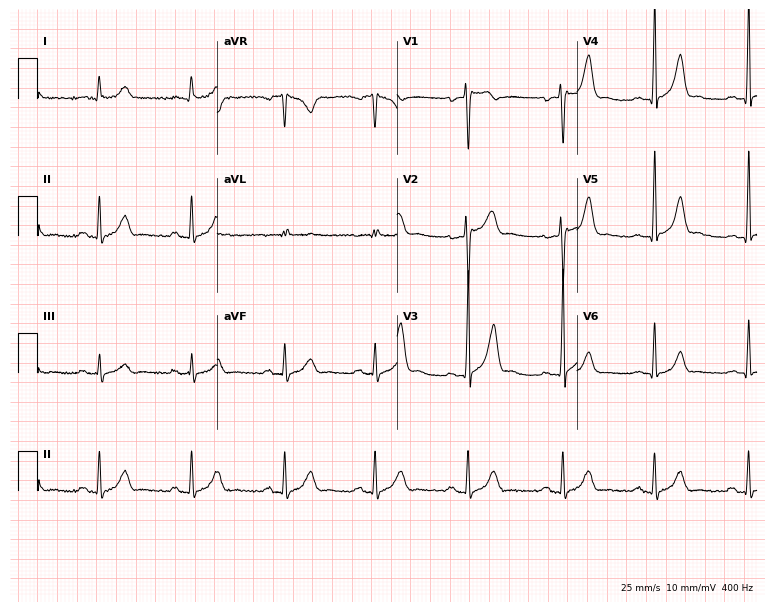
Electrocardiogram (7.3-second recording at 400 Hz), a 41-year-old male patient. Of the six screened findings (first-degree AV block, right bundle branch block, left bundle branch block, sinus bradycardia, atrial fibrillation, sinus tachycardia), none is recorded. Only these six findings were labelled.